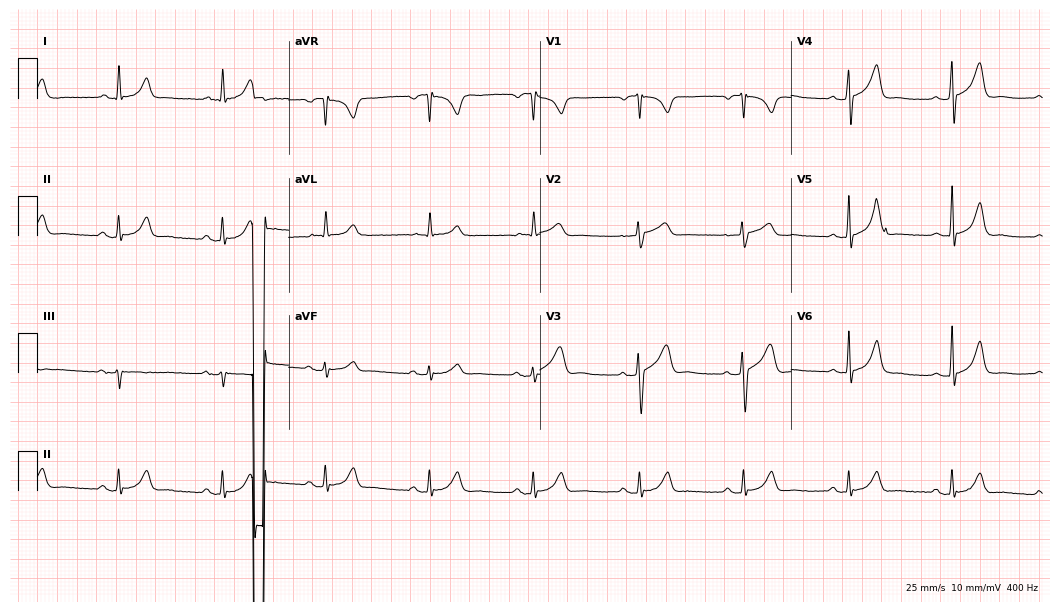
12-lead ECG (10.2-second recording at 400 Hz) from a man, 77 years old. Labelled as a normal ECG.